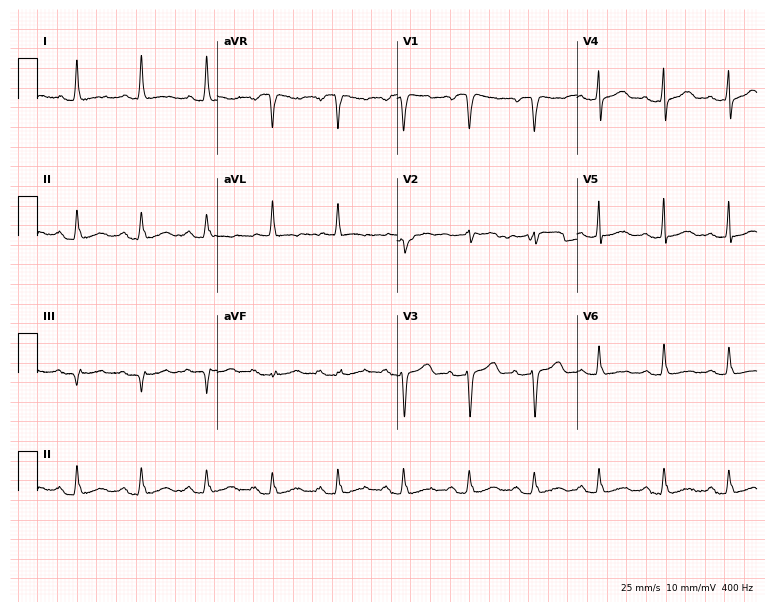
Standard 12-lead ECG recorded from a 70-year-old female. None of these six findings is recorded: first-degree AV block, right bundle branch block (RBBB), left bundle branch block (LBBB), sinus bradycardia, atrial fibrillation (AF), sinus tachycardia.